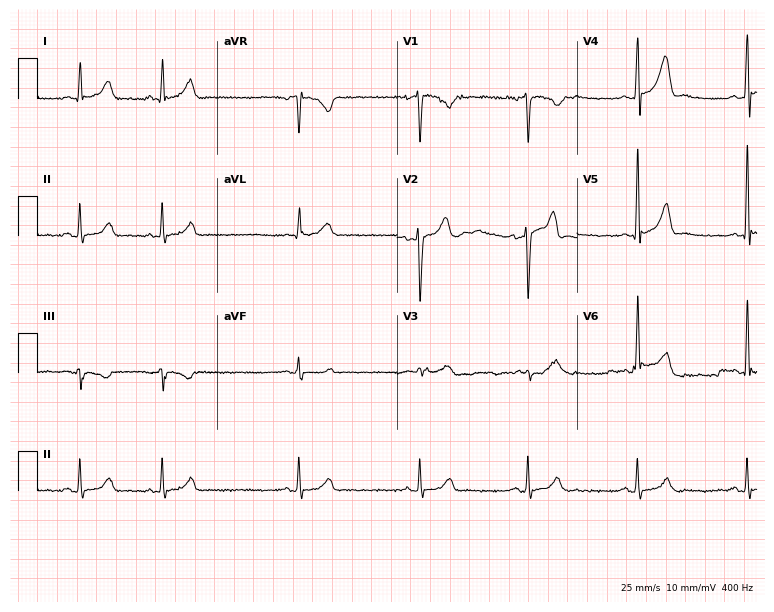
Standard 12-lead ECG recorded from a male, 30 years old. None of these six findings is recorded: first-degree AV block, right bundle branch block, left bundle branch block, sinus bradycardia, atrial fibrillation, sinus tachycardia.